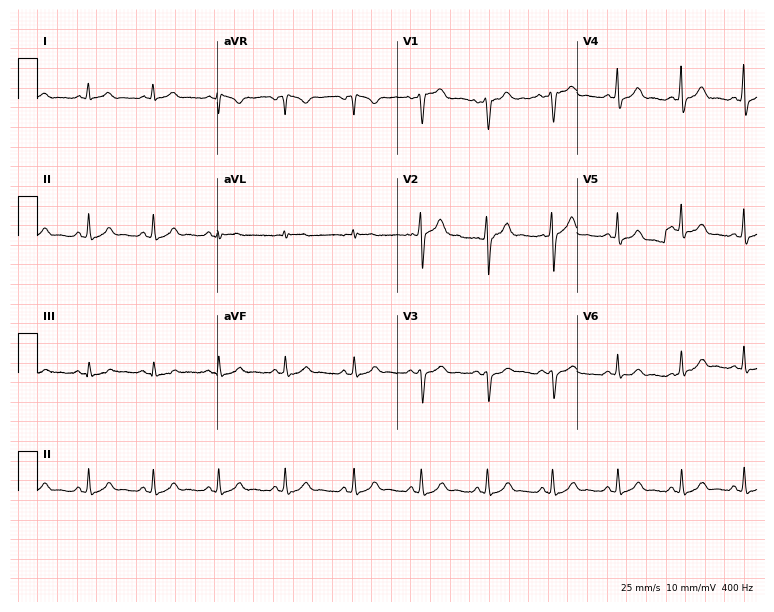
Electrocardiogram (7.3-second recording at 400 Hz), a man, 42 years old. Overall reading on record: normal ECG.